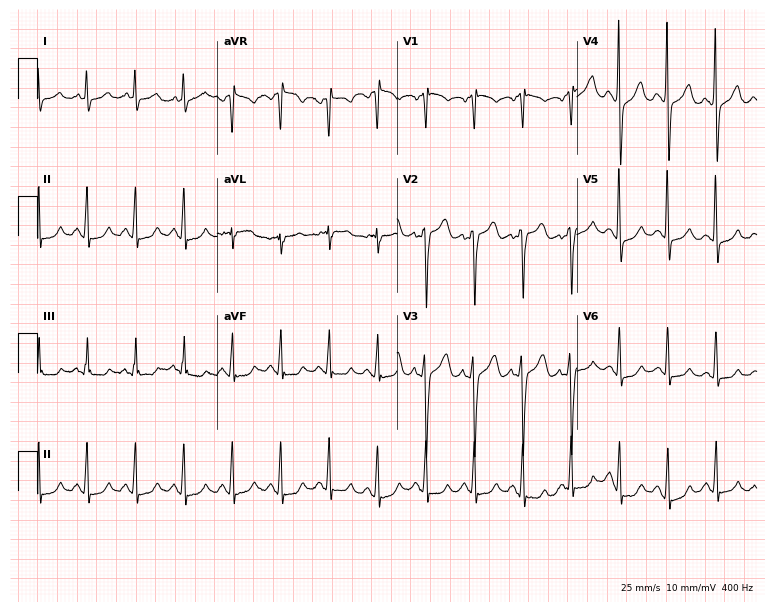
12-lead ECG from a man, 61 years old (7.3-second recording at 400 Hz). Shows sinus tachycardia (a sinus rate of 100 beats per minute or more).